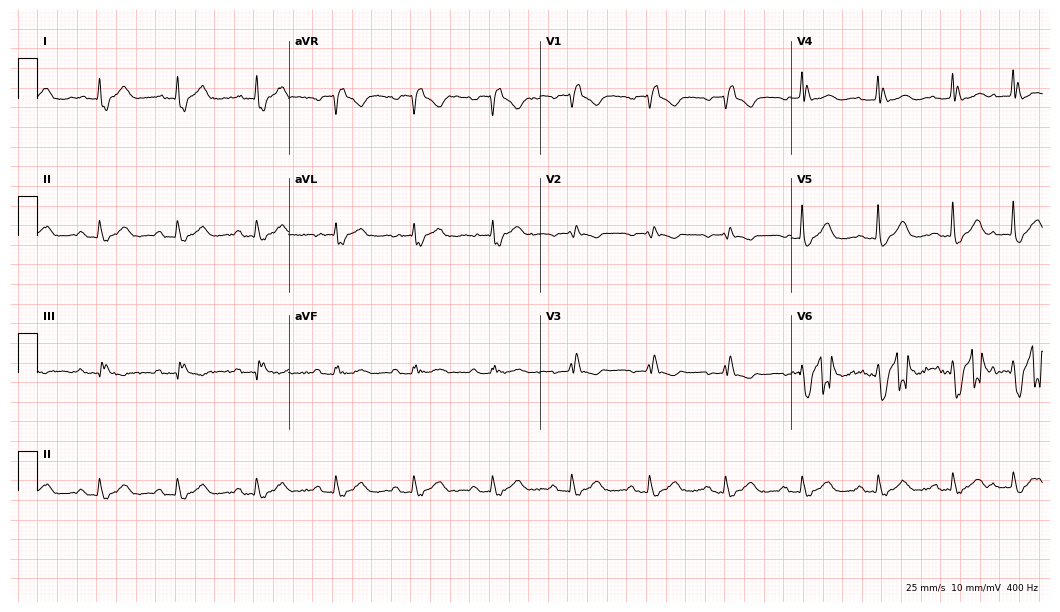
Resting 12-lead electrocardiogram. Patient: a female, 67 years old. The tracing shows right bundle branch block.